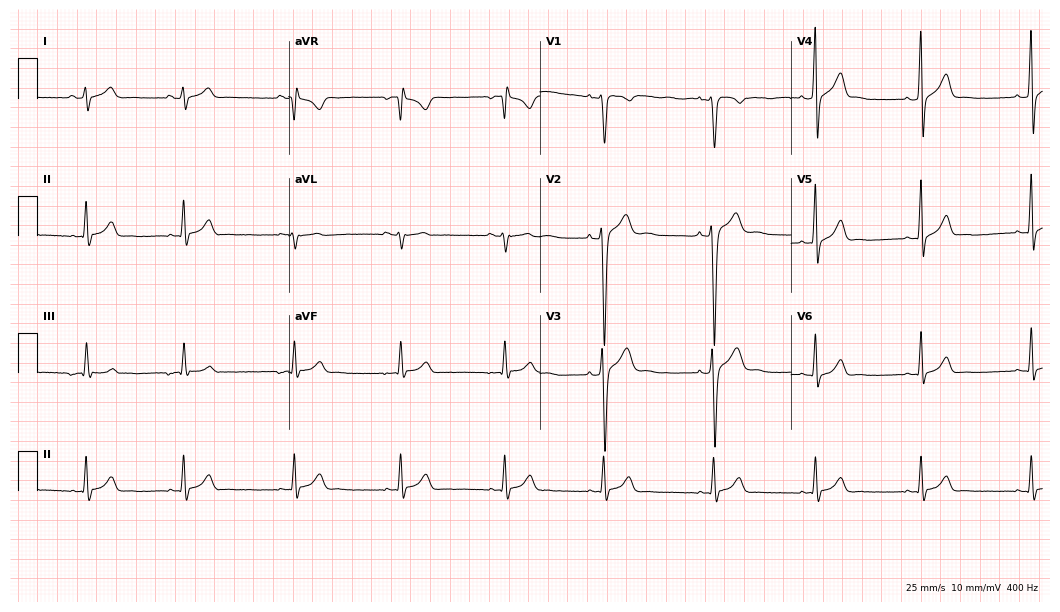
12-lead ECG (10.2-second recording at 400 Hz) from a 17-year-old male. Labelled as a normal ECG.